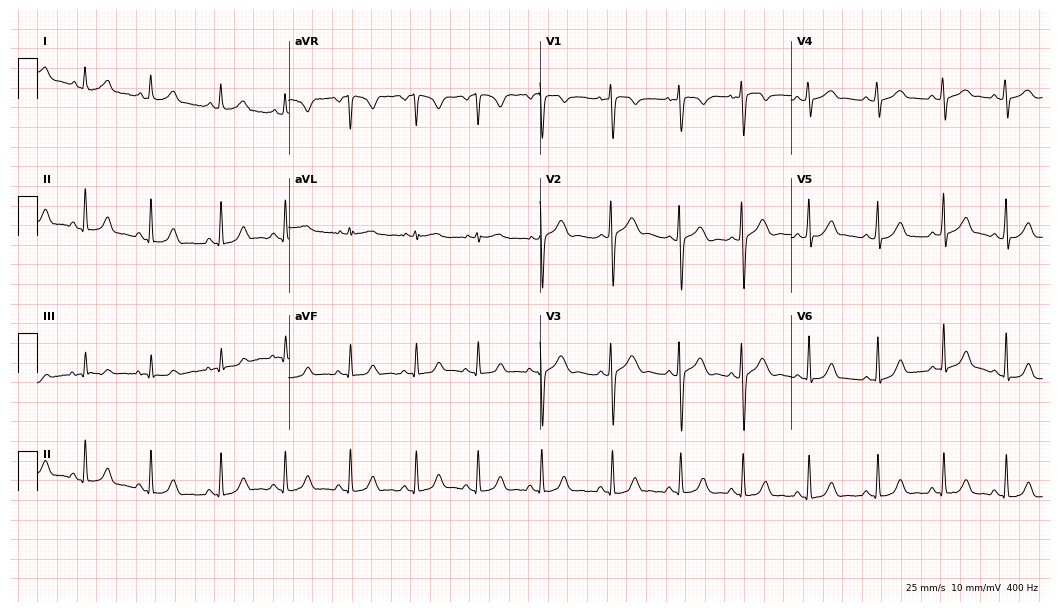
12-lead ECG (10.2-second recording at 400 Hz) from a 21-year-old male patient. Labelled as a normal ECG.